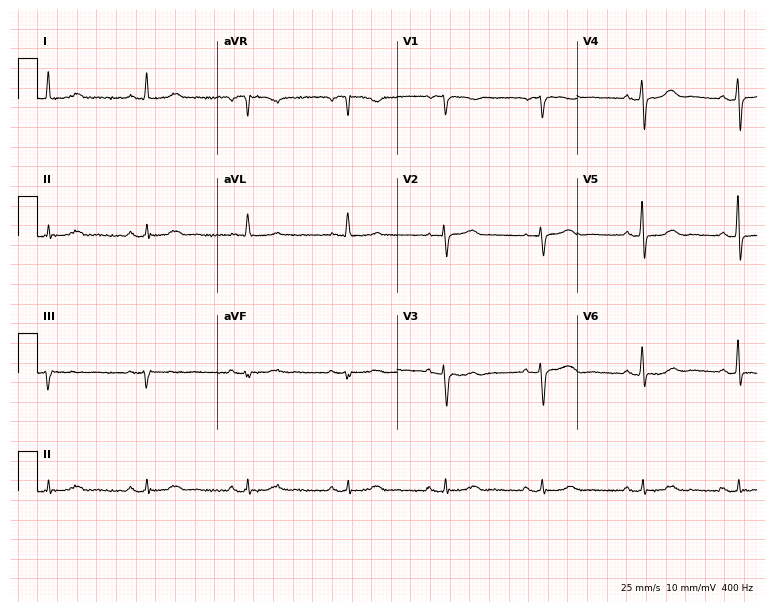
Resting 12-lead electrocardiogram (7.3-second recording at 400 Hz). Patient: a female, 62 years old. None of these six findings is recorded: first-degree AV block, right bundle branch block, left bundle branch block, sinus bradycardia, atrial fibrillation, sinus tachycardia.